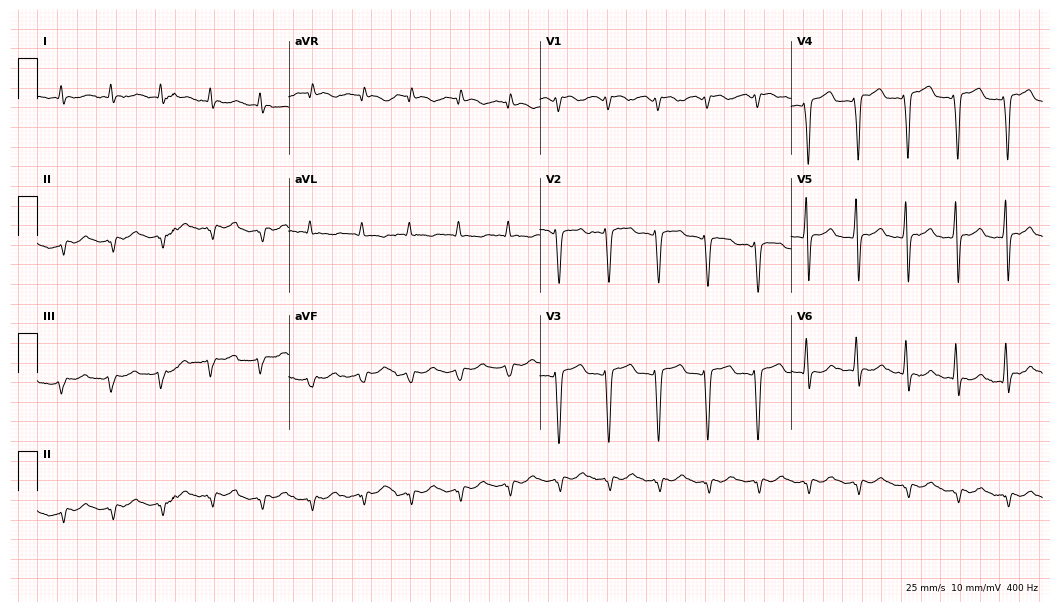
Standard 12-lead ECG recorded from a male patient, 78 years old (10.2-second recording at 400 Hz). The tracing shows sinus tachycardia (a sinus rate of 100 beats per minute or more).